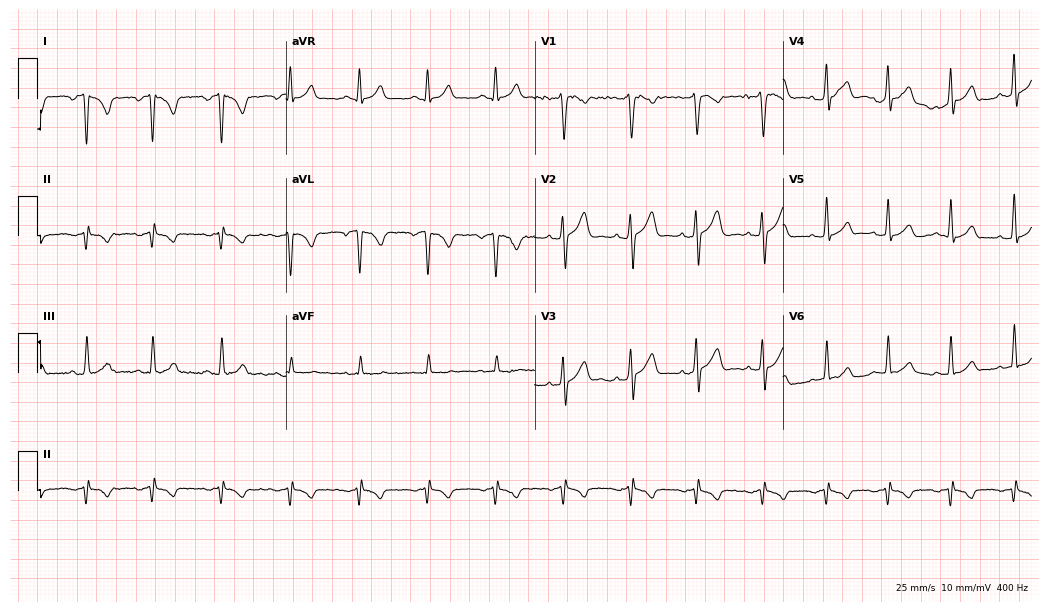
Resting 12-lead electrocardiogram (10.1-second recording at 400 Hz). Patient: a 23-year-old male. None of these six findings is recorded: first-degree AV block, right bundle branch block, left bundle branch block, sinus bradycardia, atrial fibrillation, sinus tachycardia.